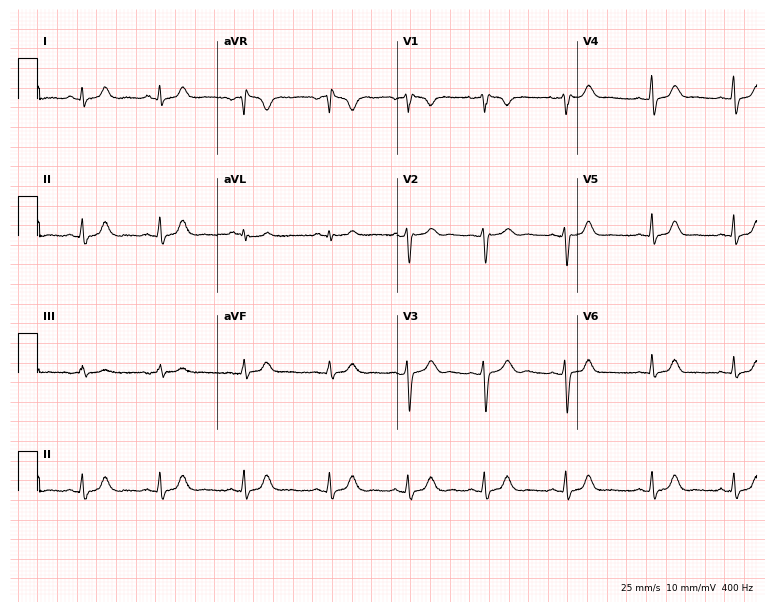
ECG — a 19-year-old woman. Labelled as a normal ECG.